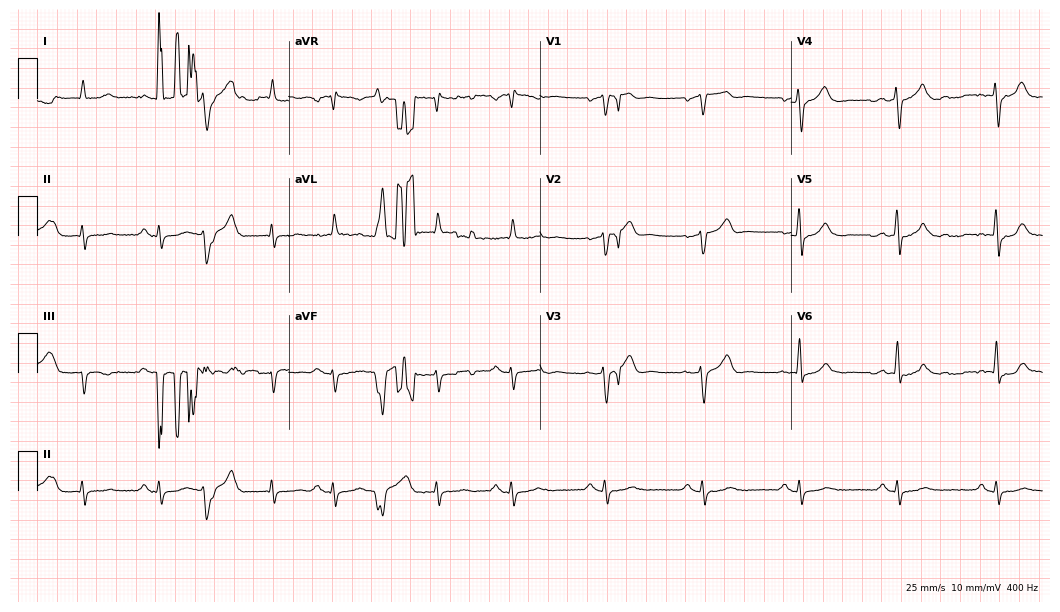
Standard 12-lead ECG recorded from a 76-year-old man. None of these six findings is recorded: first-degree AV block, right bundle branch block, left bundle branch block, sinus bradycardia, atrial fibrillation, sinus tachycardia.